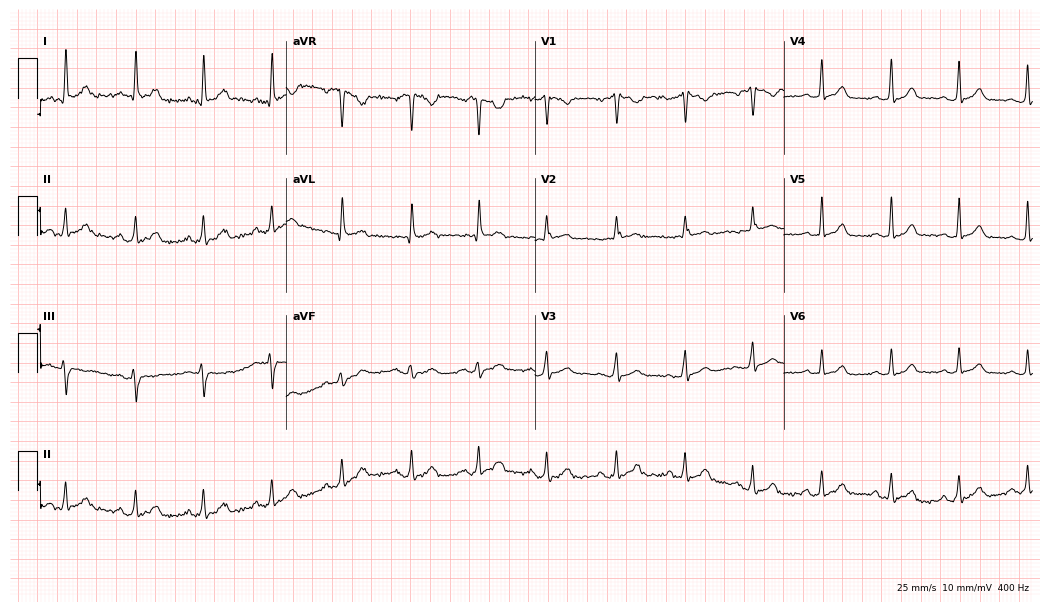
ECG — a woman, 37 years old. Labelled as a normal ECG.